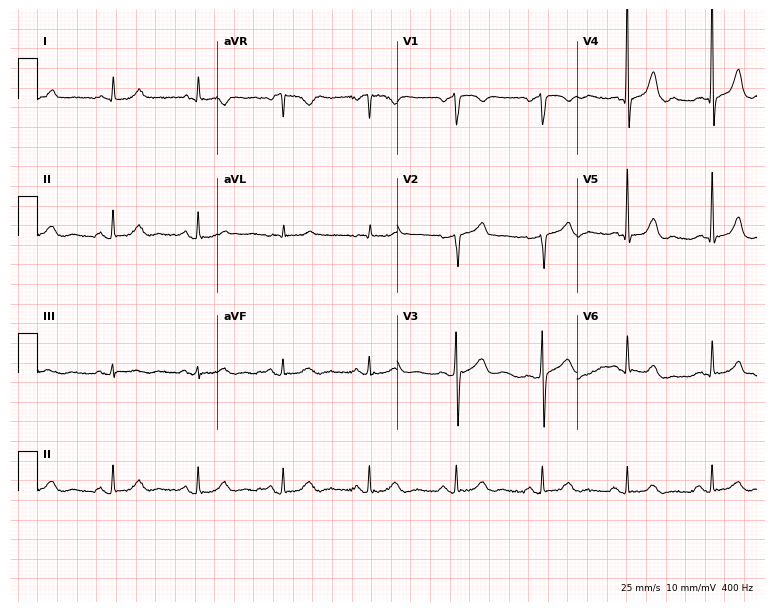
12-lead ECG from a 64-year-old male patient. Recorded interpretation: within normal limits.